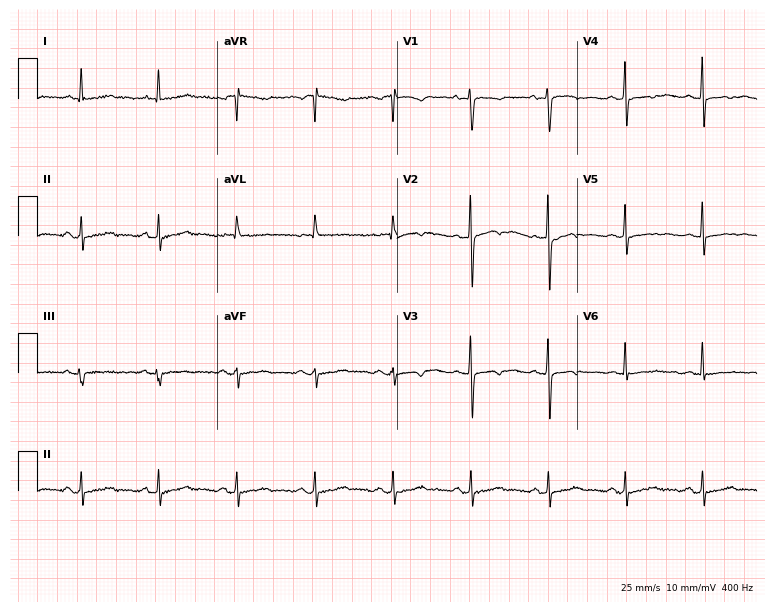
Resting 12-lead electrocardiogram (7.3-second recording at 400 Hz). Patient: a woman, 74 years old. None of these six findings is recorded: first-degree AV block, right bundle branch block, left bundle branch block, sinus bradycardia, atrial fibrillation, sinus tachycardia. Findings outside these six are not listed.